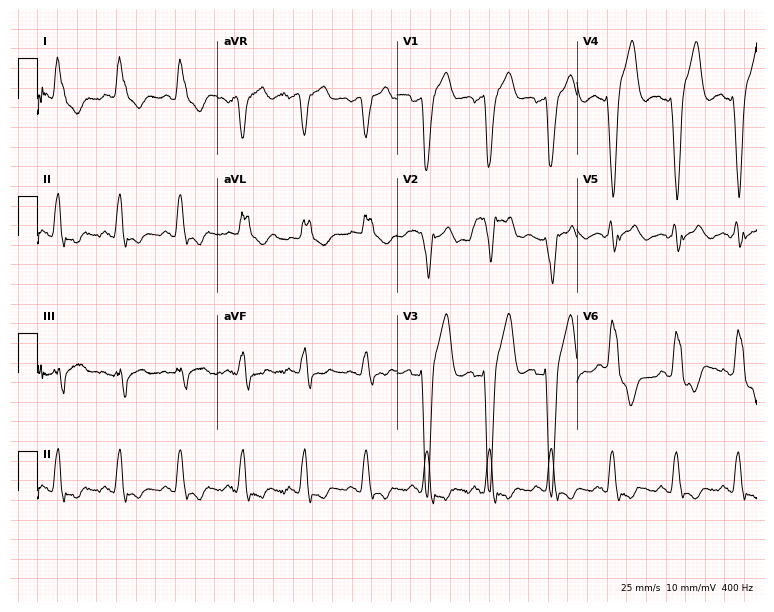
Standard 12-lead ECG recorded from a woman, 74 years old (7.3-second recording at 400 Hz). None of these six findings is recorded: first-degree AV block, right bundle branch block, left bundle branch block, sinus bradycardia, atrial fibrillation, sinus tachycardia.